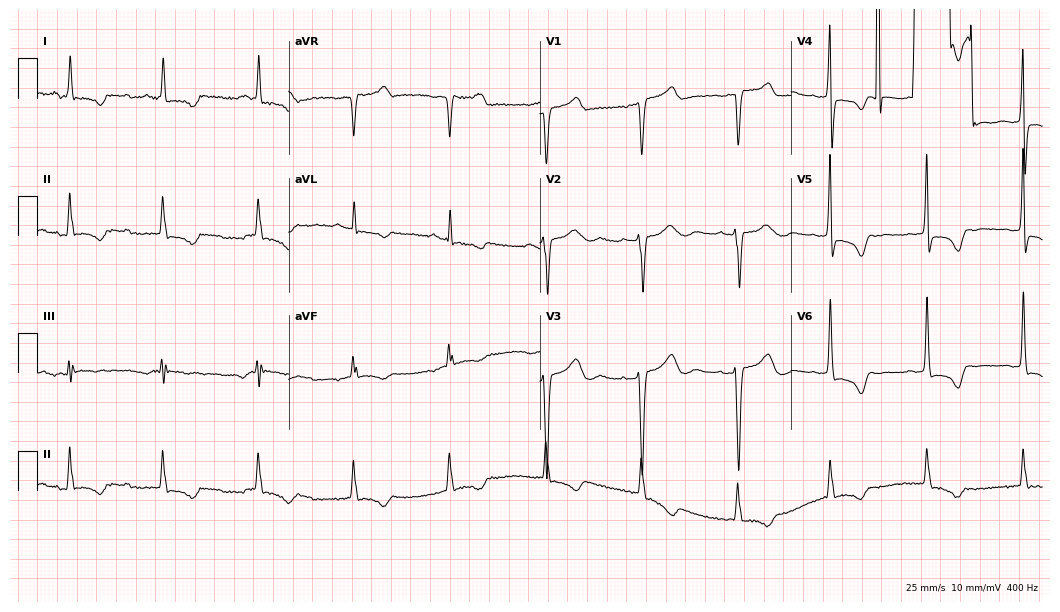
ECG (10.2-second recording at 400 Hz) — a female patient, 62 years old. Screened for six findings — first-degree AV block, right bundle branch block, left bundle branch block, sinus bradycardia, atrial fibrillation, sinus tachycardia — none is recorded. Findings outside these six are not listed.